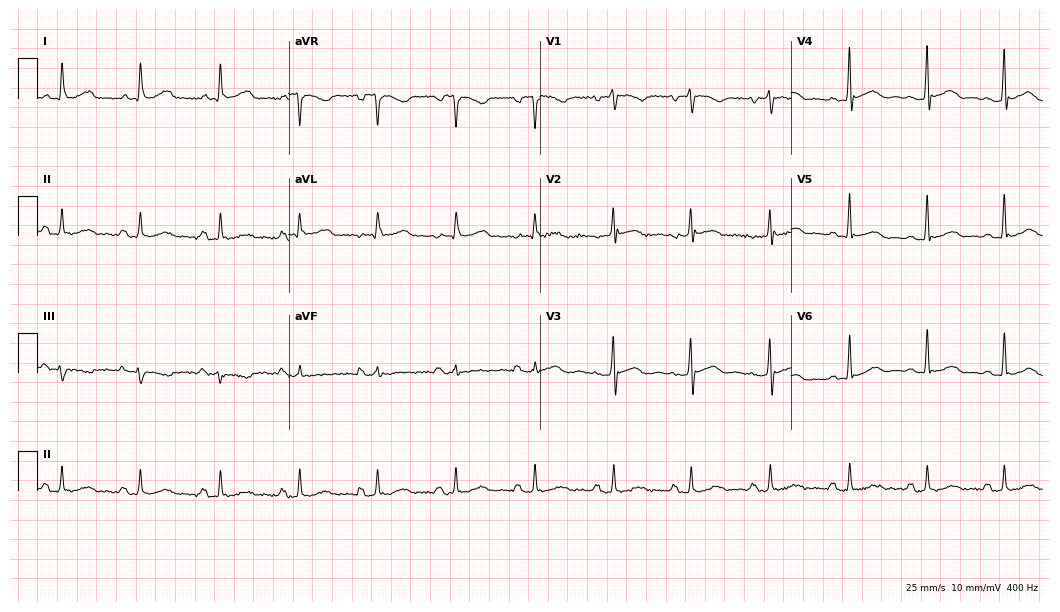
Electrocardiogram (10.2-second recording at 400 Hz), a 68-year-old woman. Of the six screened findings (first-degree AV block, right bundle branch block (RBBB), left bundle branch block (LBBB), sinus bradycardia, atrial fibrillation (AF), sinus tachycardia), none is recorded.